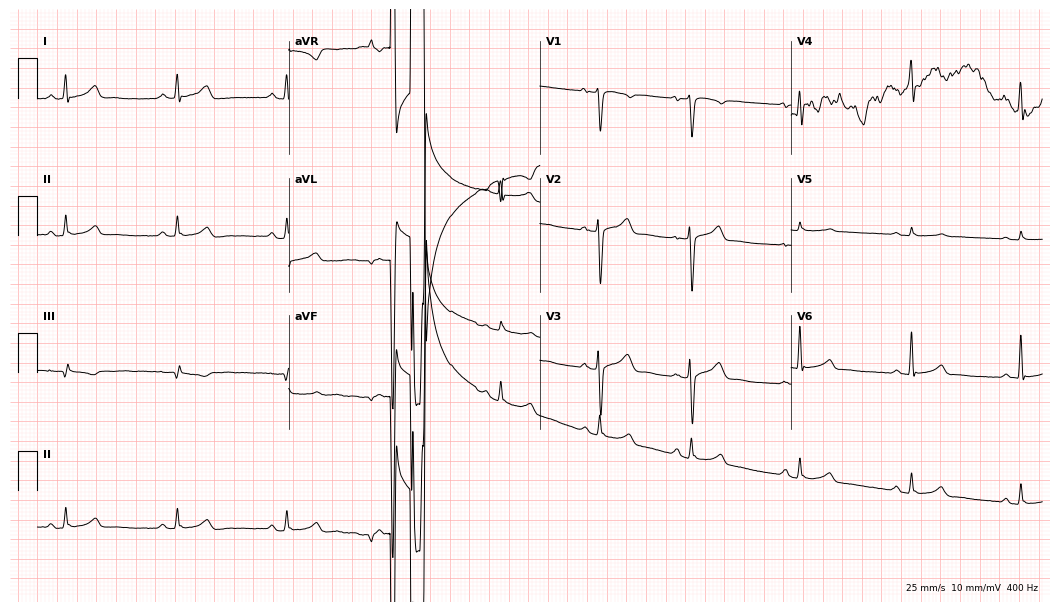
12-lead ECG from a man, 37 years old (10.2-second recording at 400 Hz). No first-degree AV block, right bundle branch block, left bundle branch block, sinus bradycardia, atrial fibrillation or sinus tachycardia recorded for this tracing. Findings outside these six are not listed.